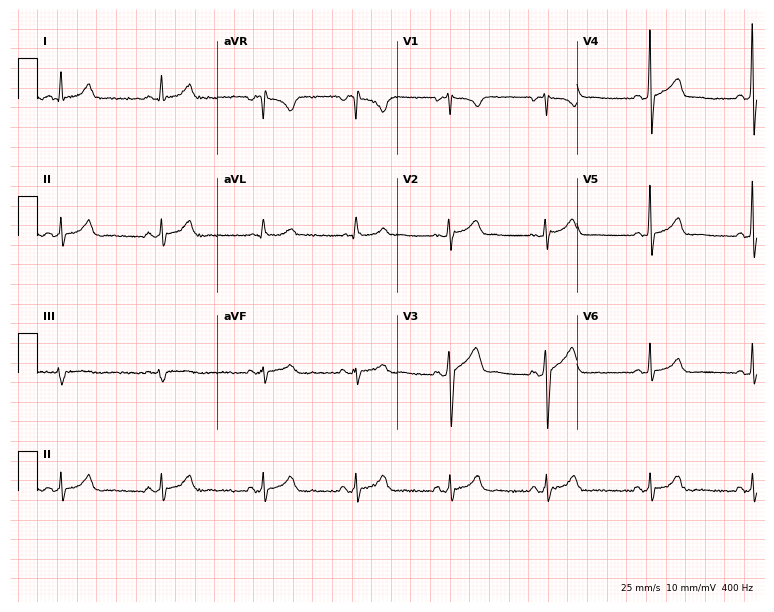
Electrocardiogram (7.3-second recording at 400 Hz), a man, 51 years old. Overall reading on record: normal ECG.